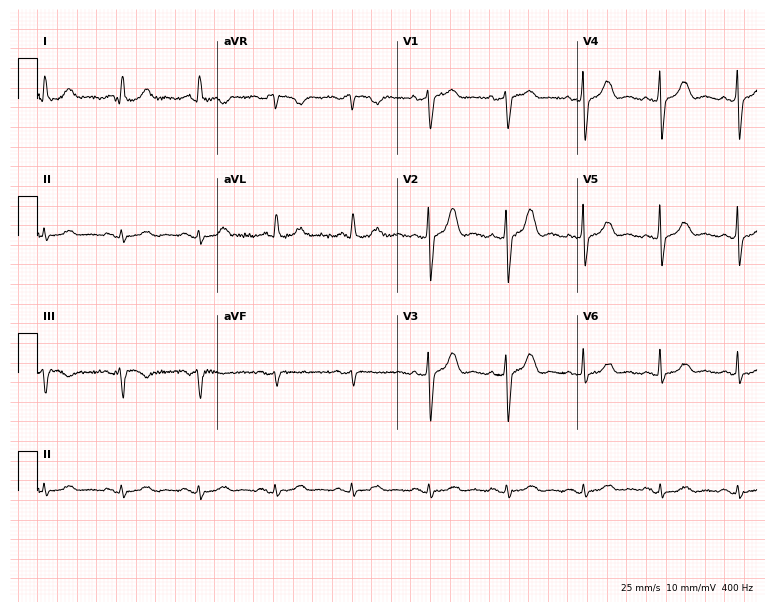
Electrocardiogram (7.3-second recording at 400 Hz), an 80-year-old female patient. Of the six screened findings (first-degree AV block, right bundle branch block, left bundle branch block, sinus bradycardia, atrial fibrillation, sinus tachycardia), none is recorded. Findings outside these six are not listed.